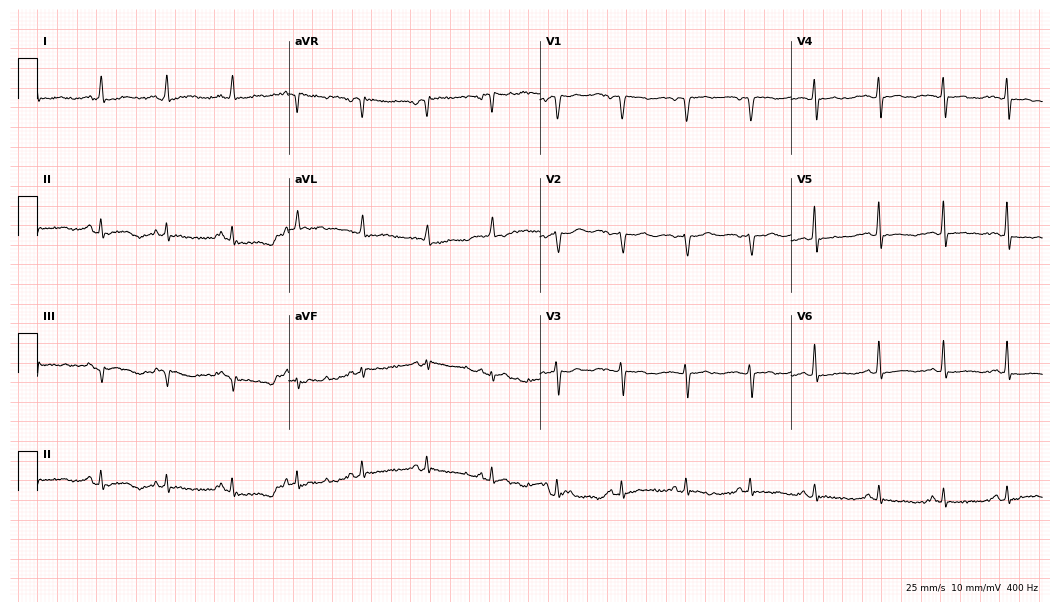
12-lead ECG from an 85-year-old female patient (10.2-second recording at 400 Hz). No first-degree AV block, right bundle branch block, left bundle branch block, sinus bradycardia, atrial fibrillation or sinus tachycardia recorded for this tracing.